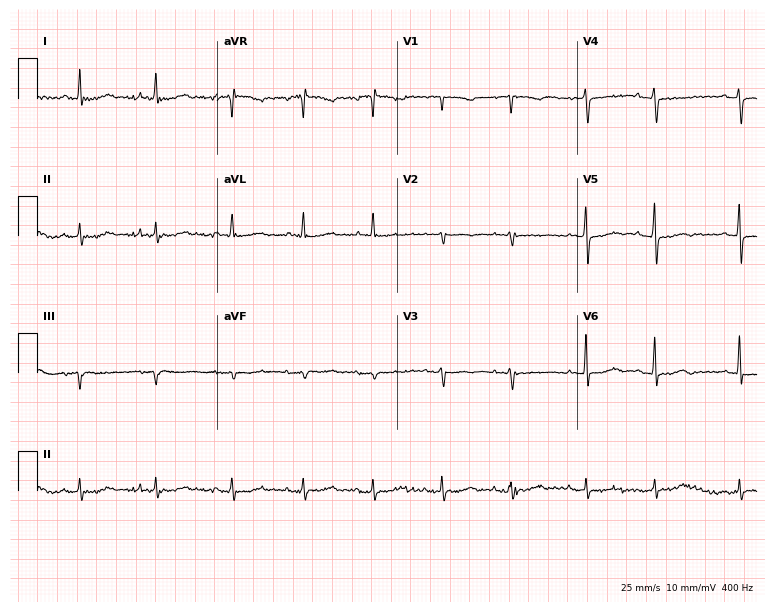
Electrocardiogram, a 73-year-old female patient. Of the six screened findings (first-degree AV block, right bundle branch block (RBBB), left bundle branch block (LBBB), sinus bradycardia, atrial fibrillation (AF), sinus tachycardia), none is recorded. Only these six findings were labelled.